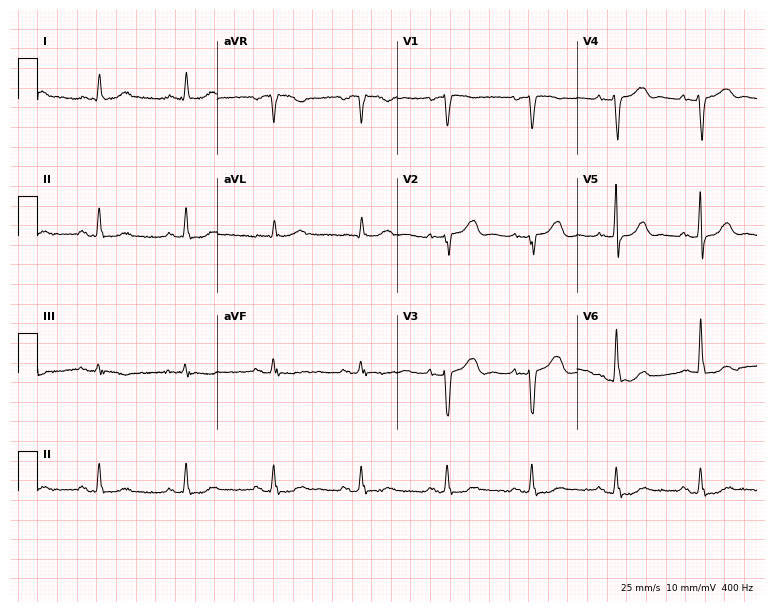
12-lead ECG from an 81-year-old woman. Screened for six findings — first-degree AV block, right bundle branch block, left bundle branch block, sinus bradycardia, atrial fibrillation, sinus tachycardia — none is recorded. Other findings, if any, are not listed.